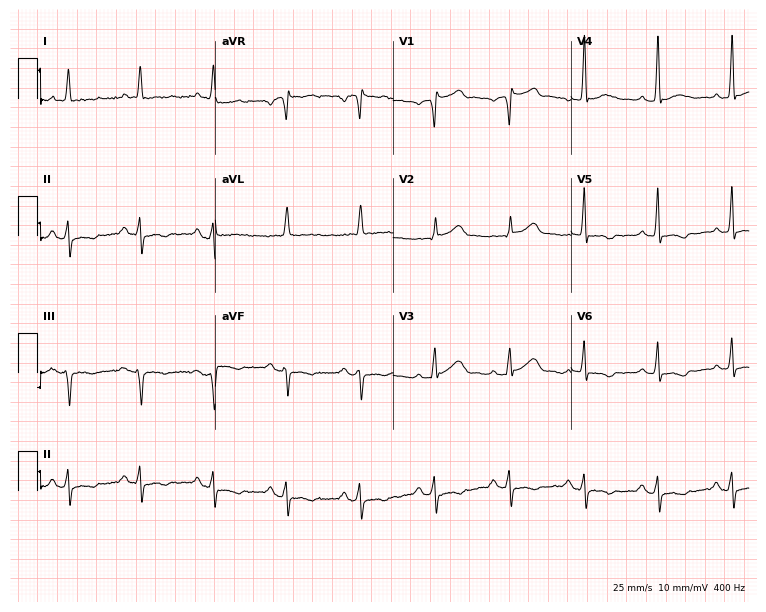
Standard 12-lead ECG recorded from an 83-year-old man. None of these six findings is recorded: first-degree AV block, right bundle branch block, left bundle branch block, sinus bradycardia, atrial fibrillation, sinus tachycardia.